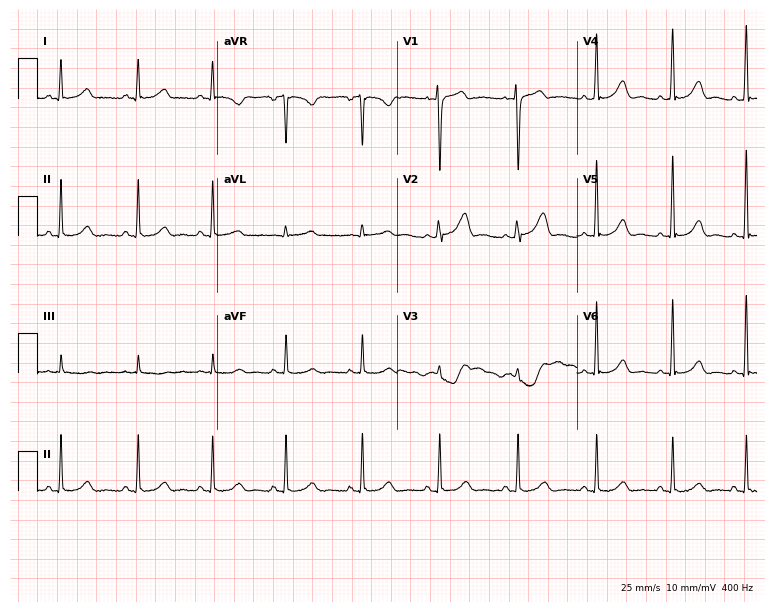
Resting 12-lead electrocardiogram (7.3-second recording at 400 Hz). Patient: a 32-year-old female. Read as a normal ECG.